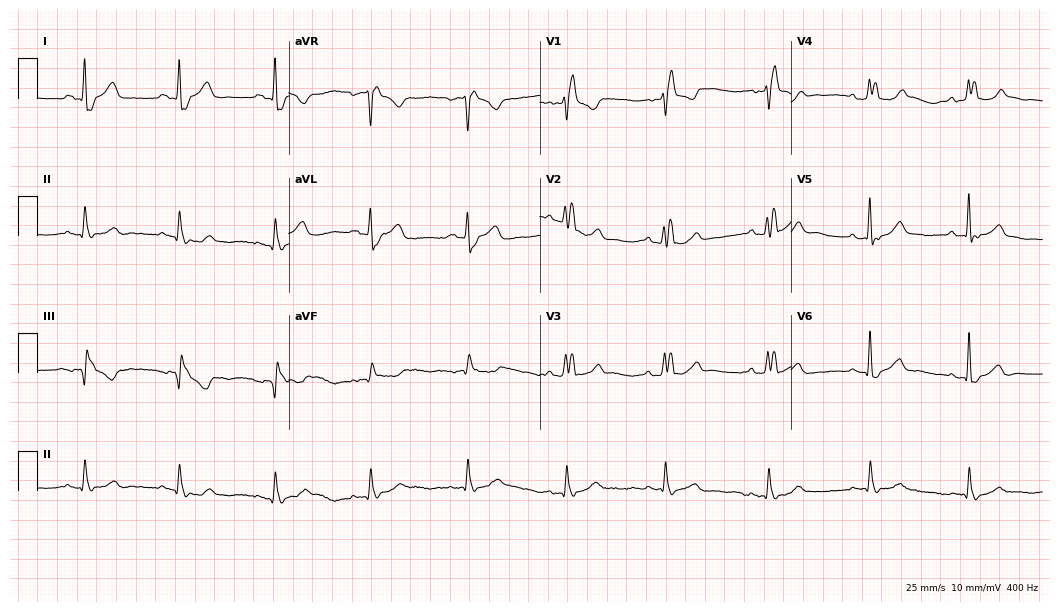
ECG (10.2-second recording at 400 Hz) — a 70-year-old man. Findings include right bundle branch block (RBBB).